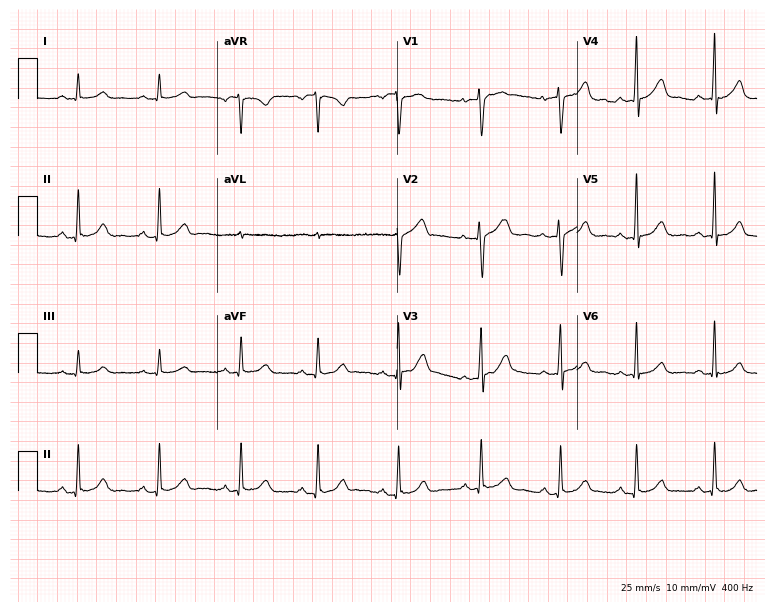
Resting 12-lead electrocardiogram. Patient: a male, 32 years old. None of these six findings is recorded: first-degree AV block, right bundle branch block, left bundle branch block, sinus bradycardia, atrial fibrillation, sinus tachycardia.